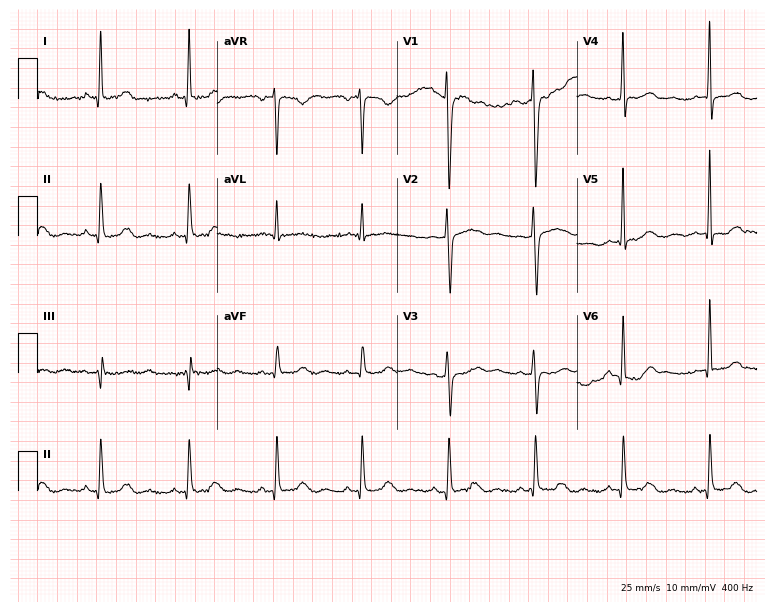
12-lead ECG (7.3-second recording at 400 Hz) from a female patient, 46 years old. Labelled as a normal ECG.